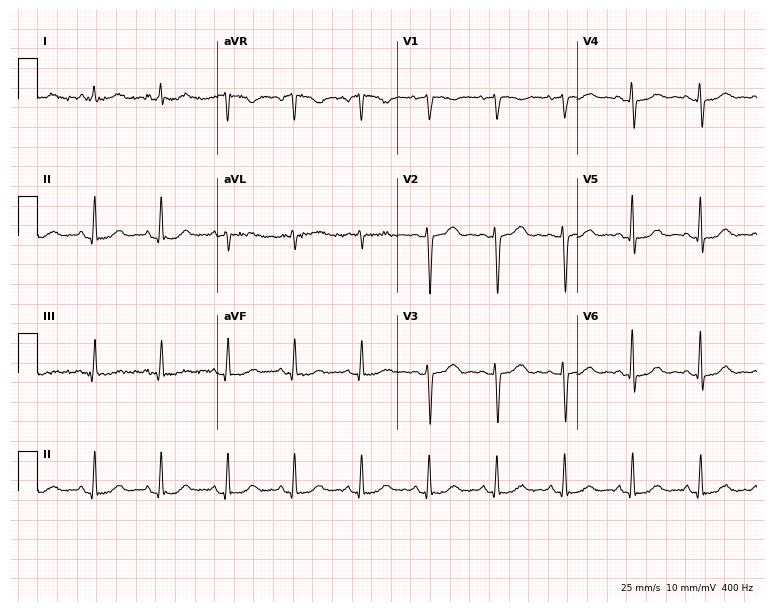
ECG — a 69-year-old female. Labelled as a normal ECG.